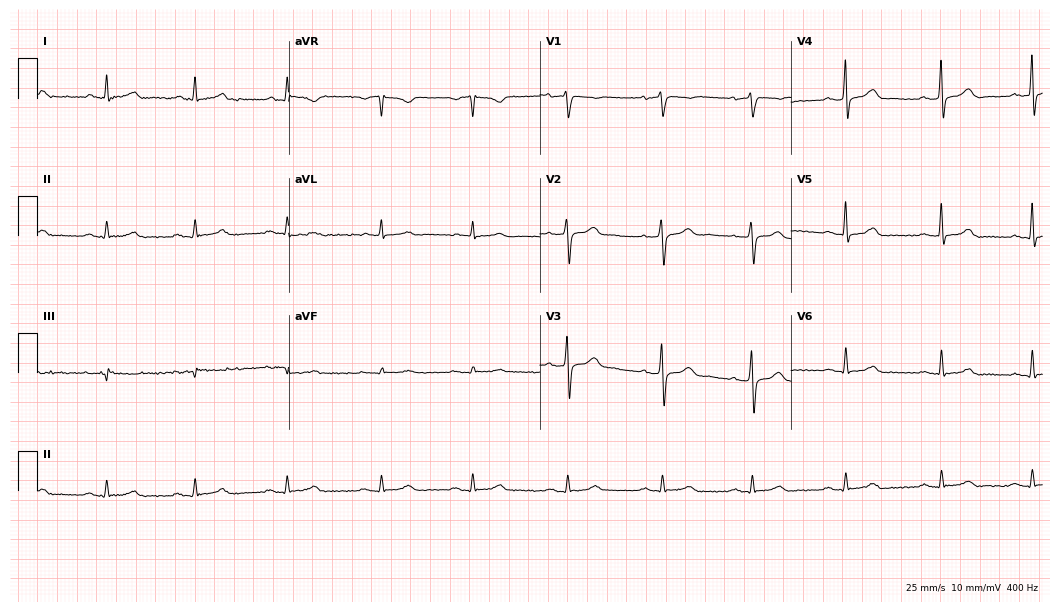
12-lead ECG from a 48-year-old man. Labelled as a normal ECG.